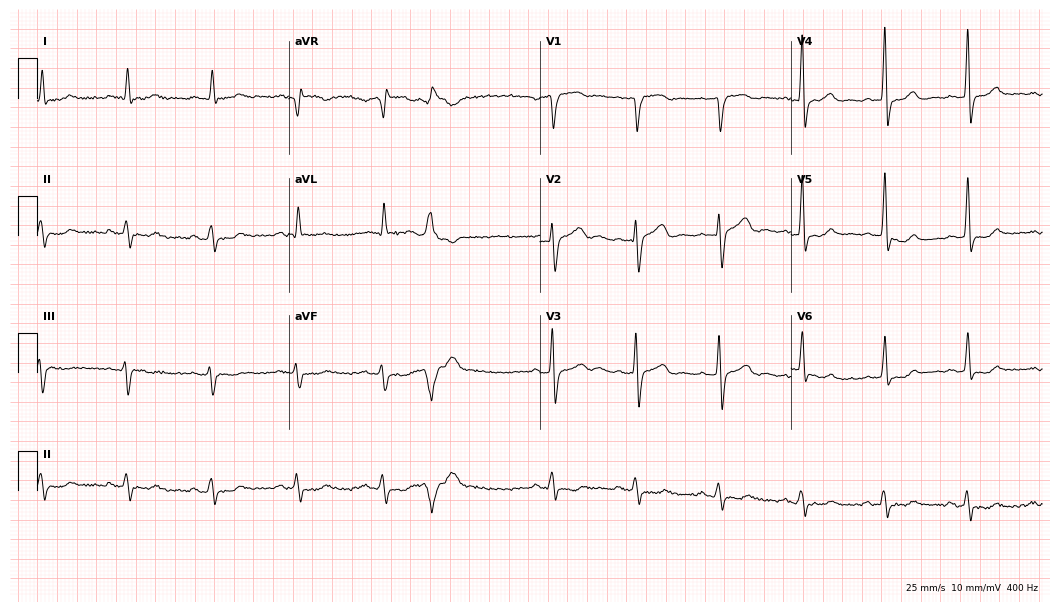
Electrocardiogram (10.2-second recording at 400 Hz), a man, 59 years old. Of the six screened findings (first-degree AV block, right bundle branch block (RBBB), left bundle branch block (LBBB), sinus bradycardia, atrial fibrillation (AF), sinus tachycardia), none is recorded. Only these six findings were labelled.